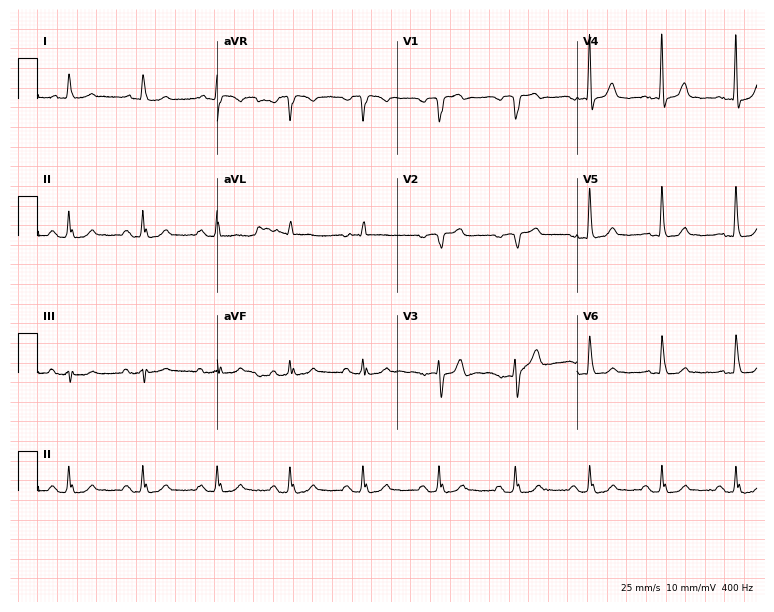
Standard 12-lead ECG recorded from a 77-year-old male patient. None of these six findings is recorded: first-degree AV block, right bundle branch block, left bundle branch block, sinus bradycardia, atrial fibrillation, sinus tachycardia. Findings outside these six are not listed.